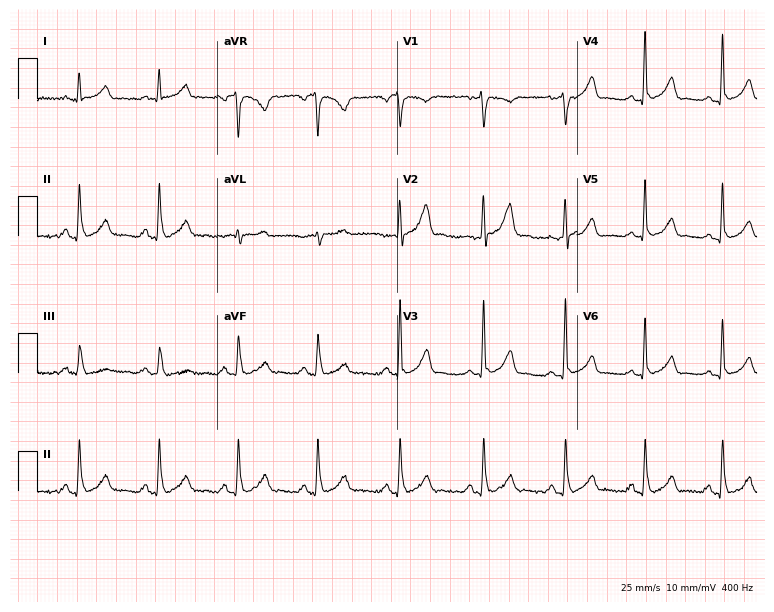
12-lead ECG (7.3-second recording at 400 Hz) from a 41-year-old man. Screened for six findings — first-degree AV block, right bundle branch block (RBBB), left bundle branch block (LBBB), sinus bradycardia, atrial fibrillation (AF), sinus tachycardia — none is recorded.